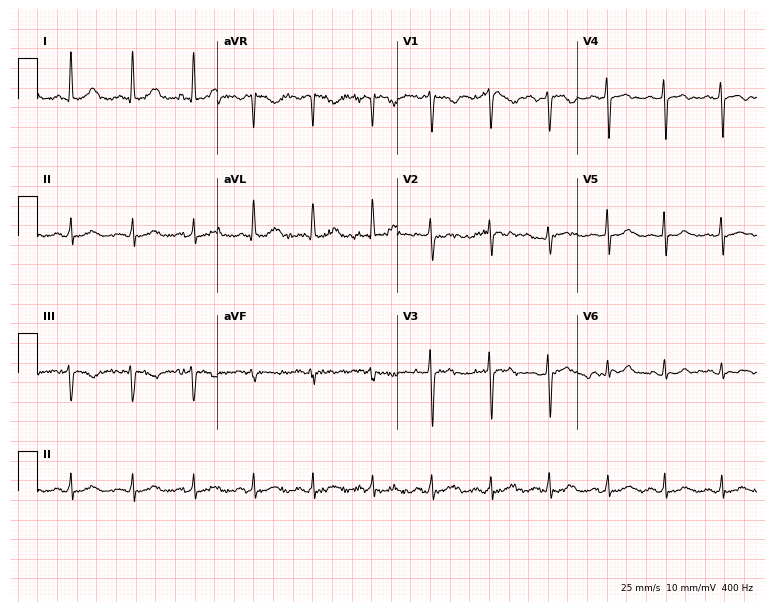
Electrocardiogram, a female patient, 47 years old. Of the six screened findings (first-degree AV block, right bundle branch block (RBBB), left bundle branch block (LBBB), sinus bradycardia, atrial fibrillation (AF), sinus tachycardia), none is recorded.